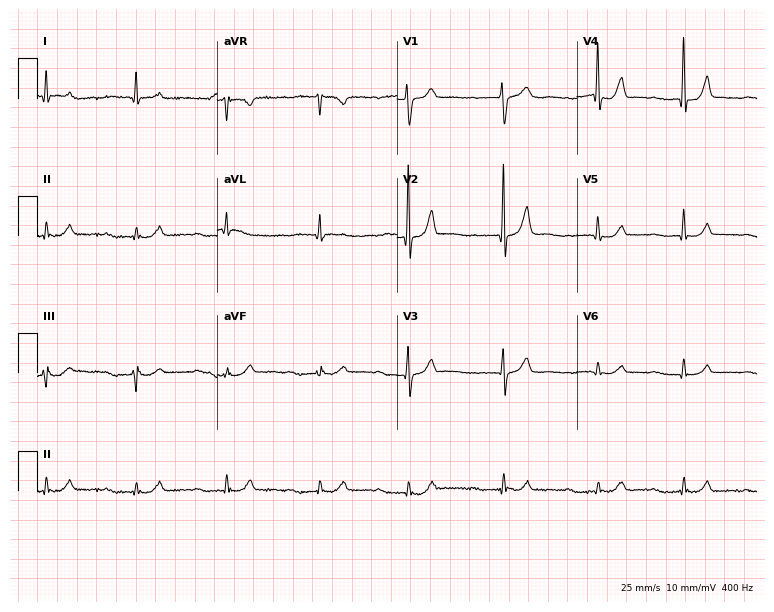
Standard 12-lead ECG recorded from a female, 80 years old. The tracing shows first-degree AV block.